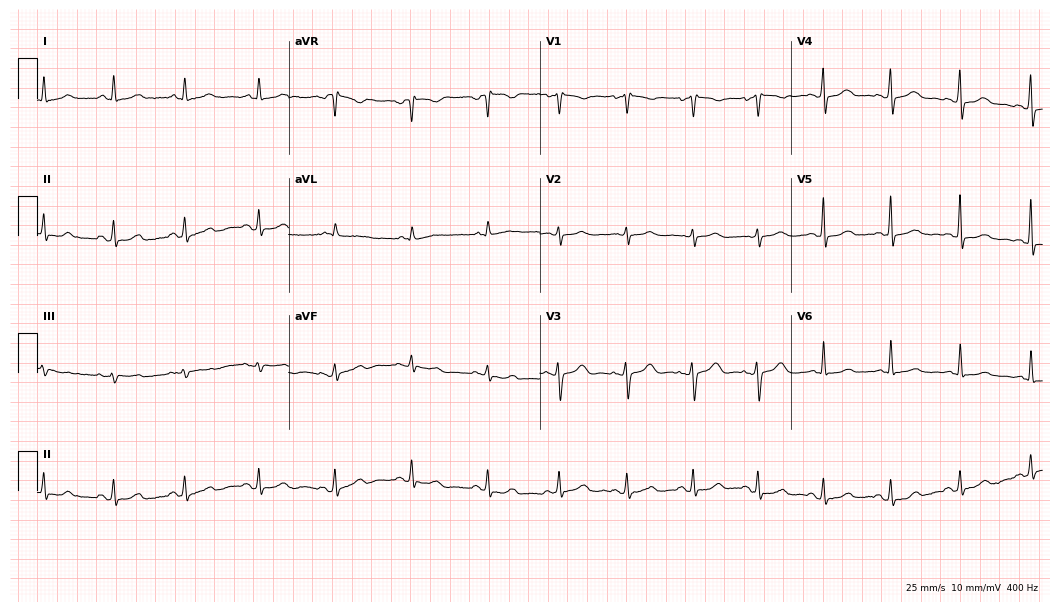
Resting 12-lead electrocardiogram. Patient: a 48-year-old female. Read as a normal ECG.